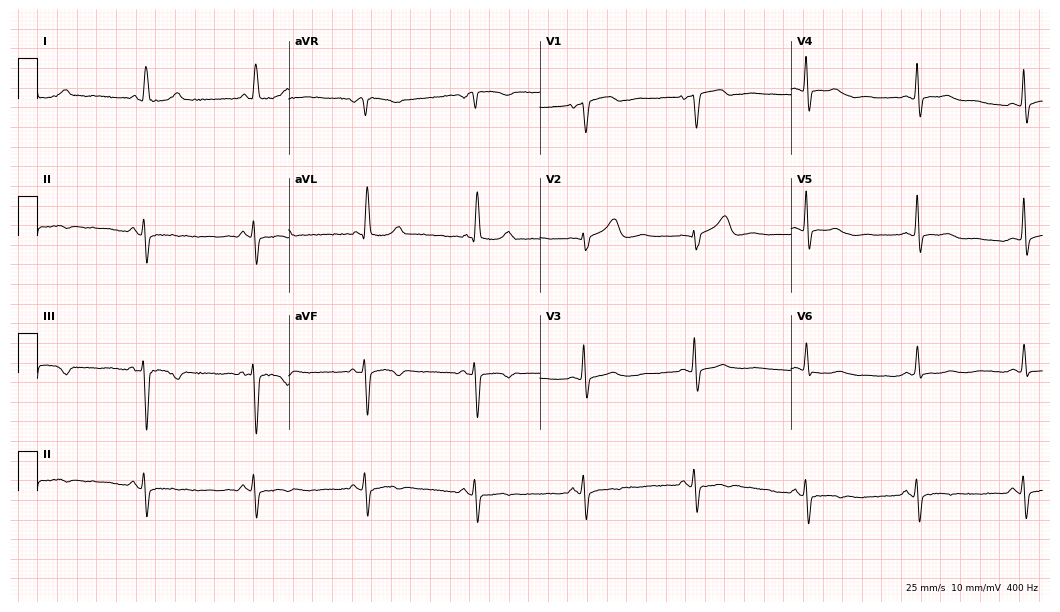
12-lead ECG from a 74-year-old female. Screened for six findings — first-degree AV block, right bundle branch block (RBBB), left bundle branch block (LBBB), sinus bradycardia, atrial fibrillation (AF), sinus tachycardia — none is recorded. Findings outside these six are not listed.